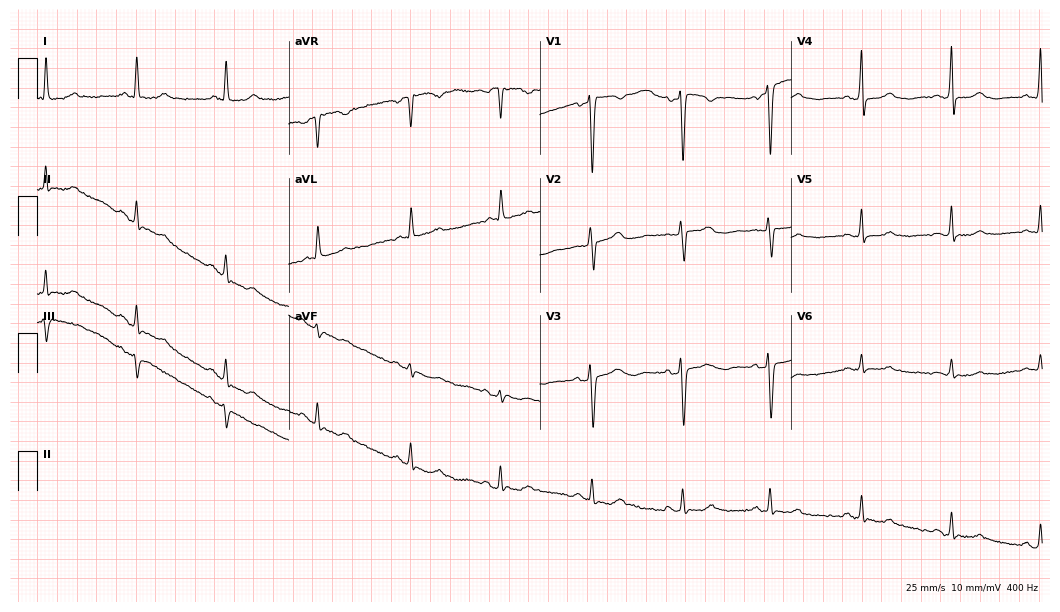
Resting 12-lead electrocardiogram. Patient: a woman, 64 years old. None of these six findings is recorded: first-degree AV block, right bundle branch block (RBBB), left bundle branch block (LBBB), sinus bradycardia, atrial fibrillation (AF), sinus tachycardia. Only these six findings were labelled.